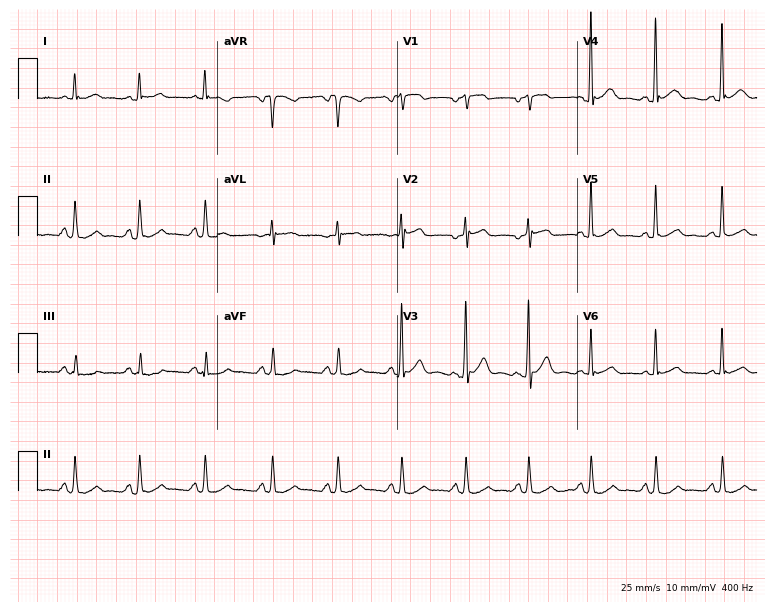
12-lead ECG (7.3-second recording at 400 Hz) from a female, 44 years old. Screened for six findings — first-degree AV block, right bundle branch block (RBBB), left bundle branch block (LBBB), sinus bradycardia, atrial fibrillation (AF), sinus tachycardia — none is recorded.